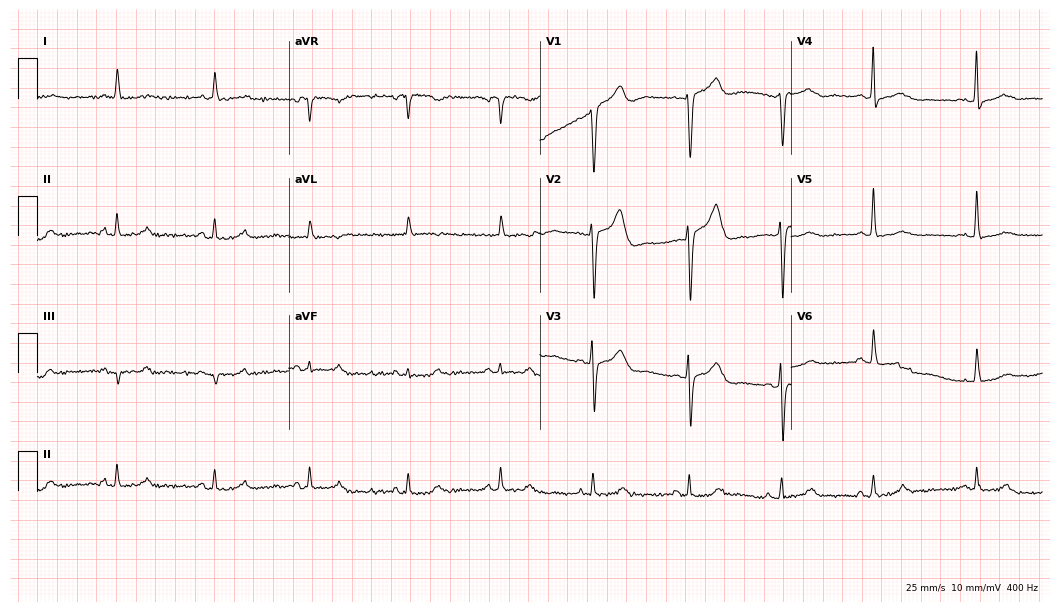
Resting 12-lead electrocardiogram. Patient: a 74-year-old female. None of these six findings is recorded: first-degree AV block, right bundle branch block, left bundle branch block, sinus bradycardia, atrial fibrillation, sinus tachycardia.